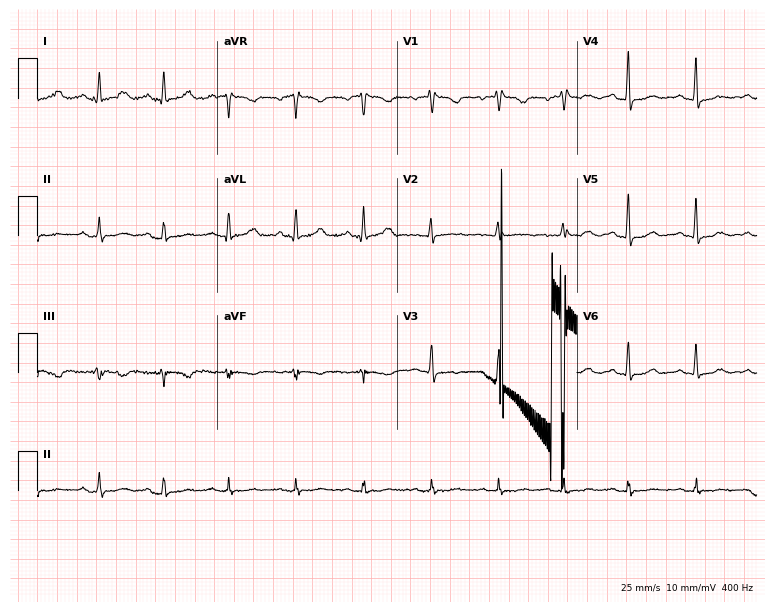
12-lead ECG from a 44-year-old female patient. Screened for six findings — first-degree AV block, right bundle branch block, left bundle branch block, sinus bradycardia, atrial fibrillation, sinus tachycardia — none is recorded. Findings outside these six are not listed.